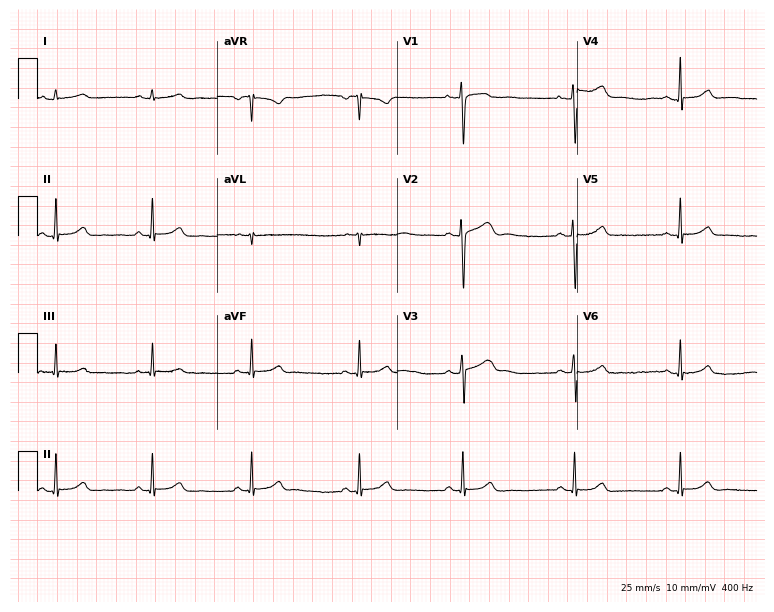
12-lead ECG from an 18-year-old woman (7.3-second recording at 400 Hz). Recorded interpretation: within normal limits.